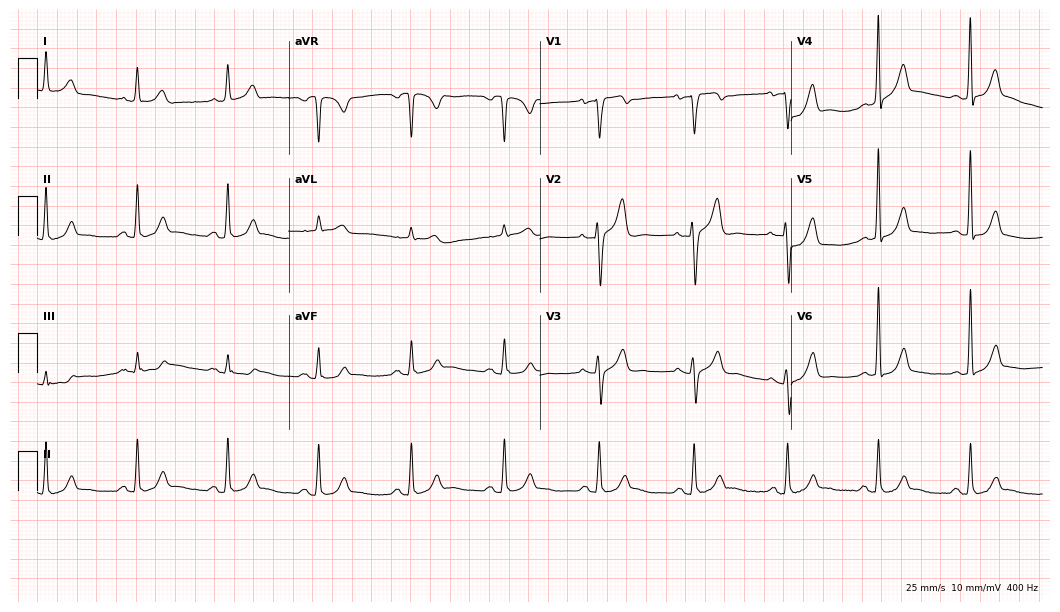
12-lead ECG (10.2-second recording at 400 Hz) from a male patient, 55 years old. Labelled as a normal ECG.